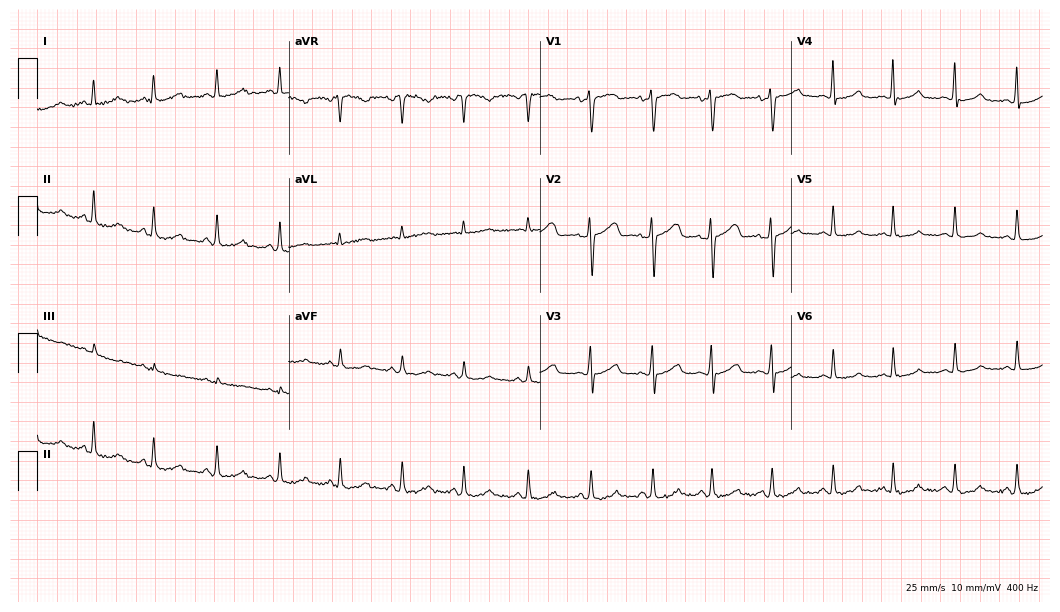
ECG (10.2-second recording at 400 Hz) — a 37-year-old female. Screened for six findings — first-degree AV block, right bundle branch block, left bundle branch block, sinus bradycardia, atrial fibrillation, sinus tachycardia — none is recorded.